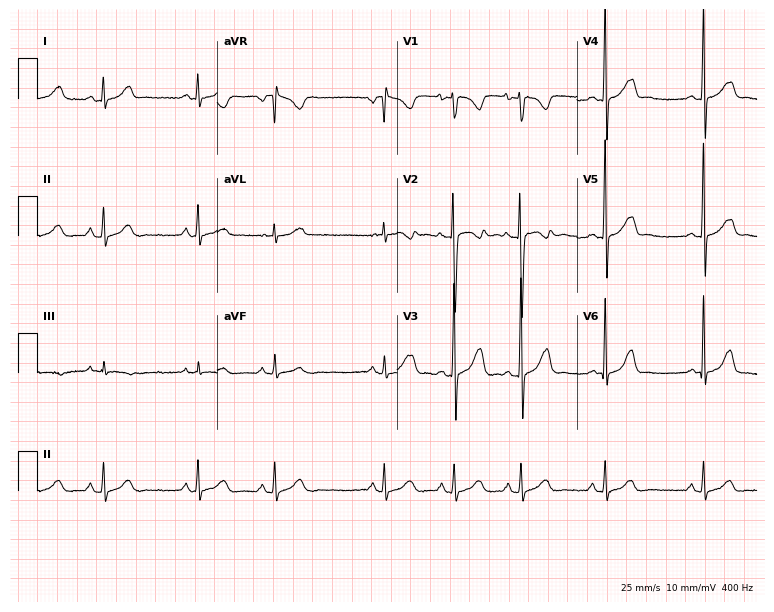
ECG — a 20-year-old man. Screened for six findings — first-degree AV block, right bundle branch block (RBBB), left bundle branch block (LBBB), sinus bradycardia, atrial fibrillation (AF), sinus tachycardia — none is recorded. Other findings, if any, are not listed.